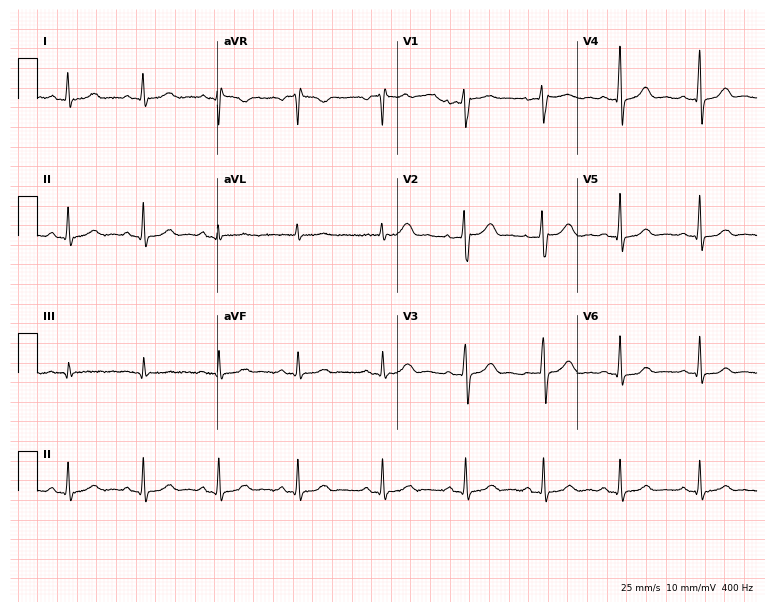
Resting 12-lead electrocardiogram. Patient: a 39-year-old female. Read as a normal ECG.